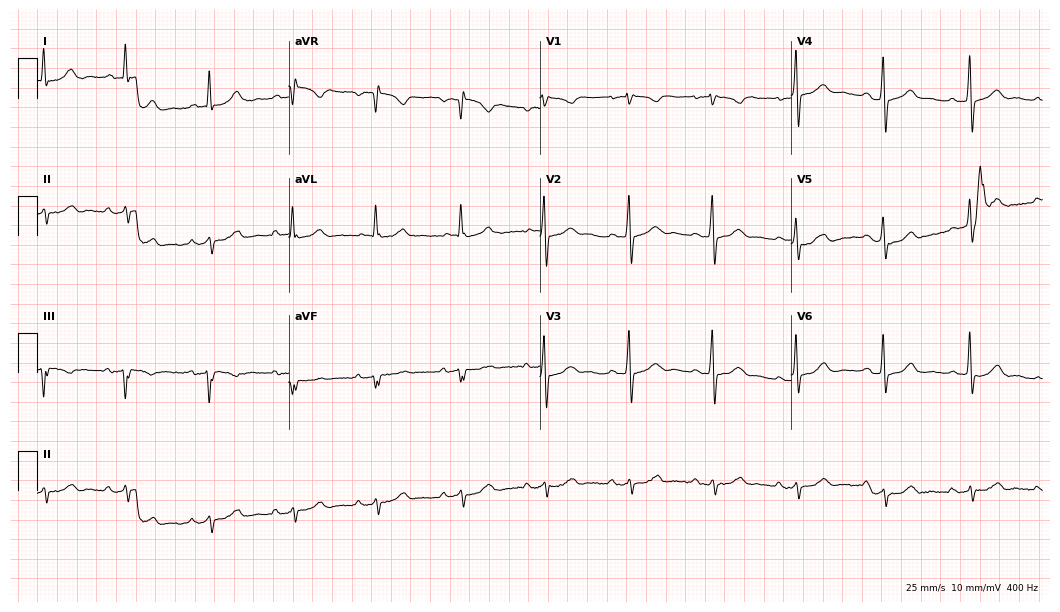
ECG (10.2-second recording at 400 Hz) — a 73-year-old male. Screened for six findings — first-degree AV block, right bundle branch block, left bundle branch block, sinus bradycardia, atrial fibrillation, sinus tachycardia — none is recorded. Only these six findings were labelled.